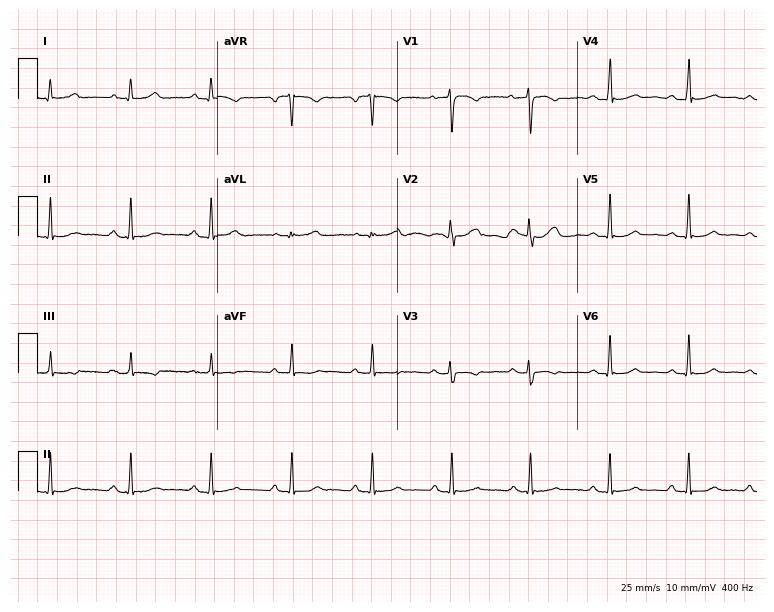
ECG (7.3-second recording at 400 Hz) — a 40-year-old woman. Labelled as a normal ECG.